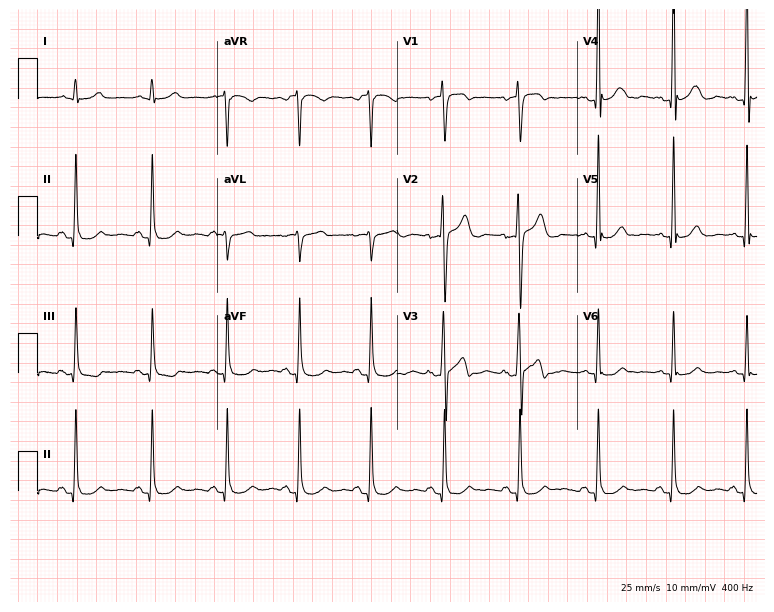
12-lead ECG from a male, 40 years old. Labelled as a normal ECG.